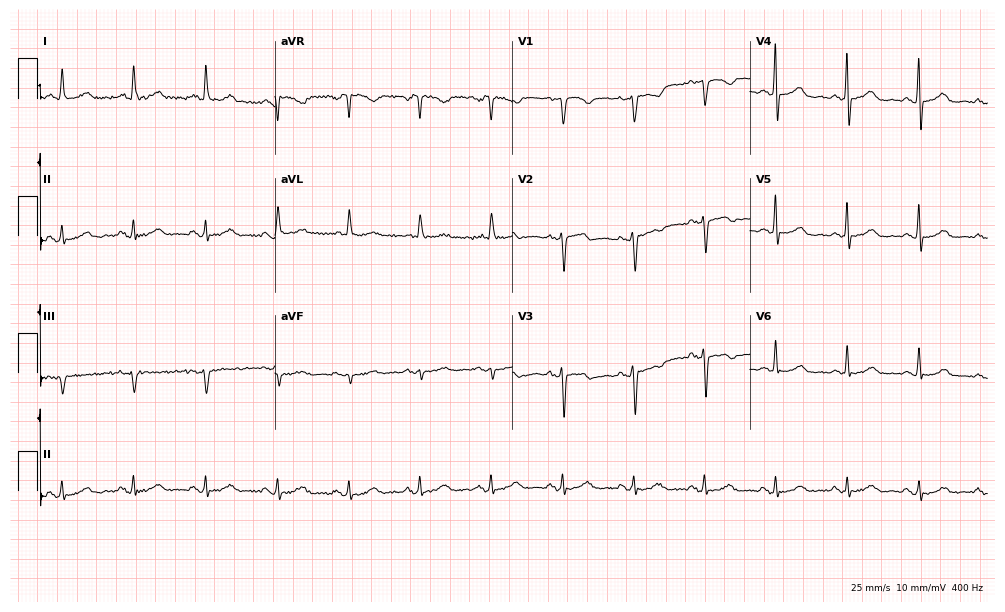
12-lead ECG from a 78-year-old female patient. Labelled as a normal ECG.